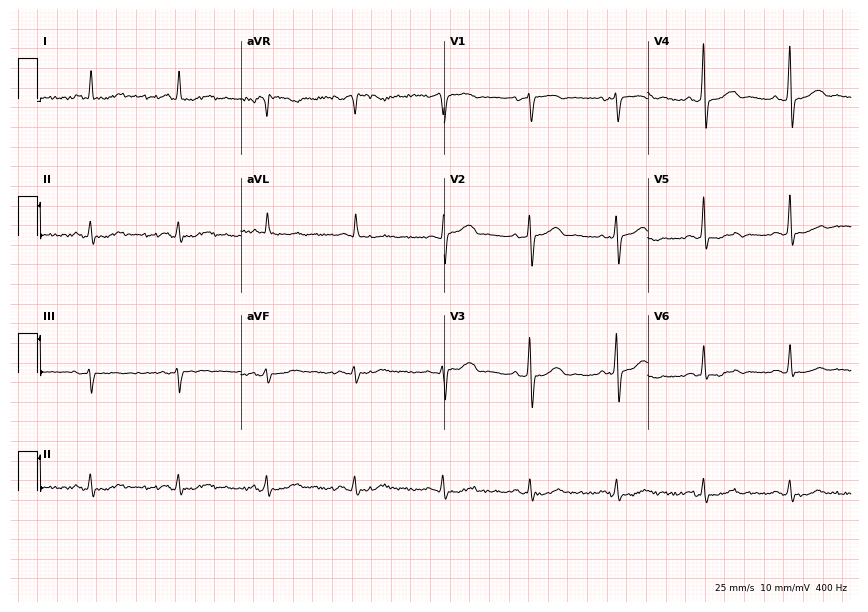
12-lead ECG from a man, 81 years old (8.3-second recording at 400 Hz). Recorded interpretation: within normal limits.